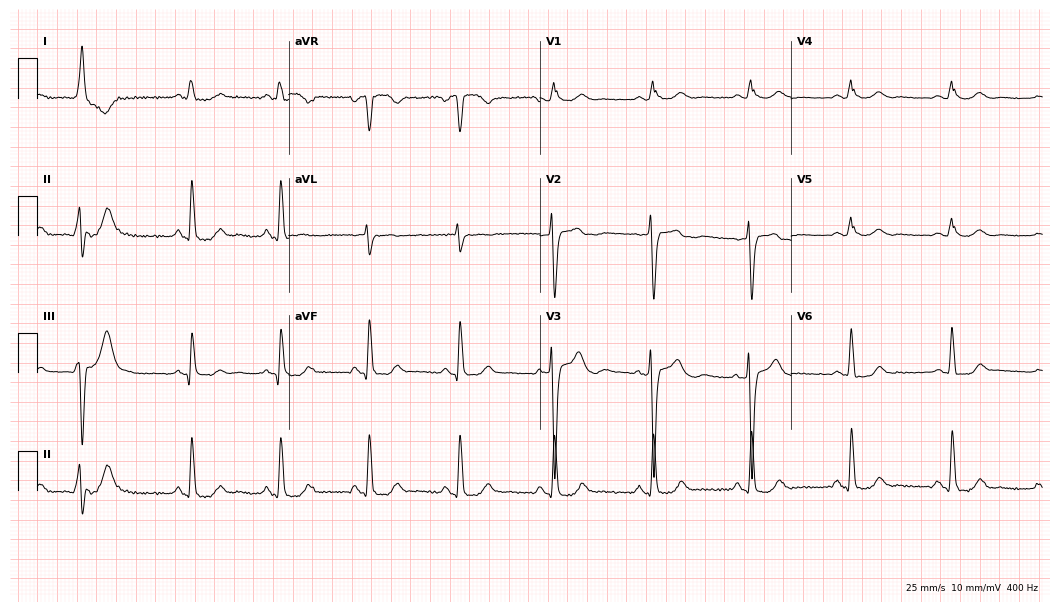
12-lead ECG from a 75-year-old female. Screened for six findings — first-degree AV block, right bundle branch block, left bundle branch block, sinus bradycardia, atrial fibrillation, sinus tachycardia — none is recorded. Only these six findings were labelled.